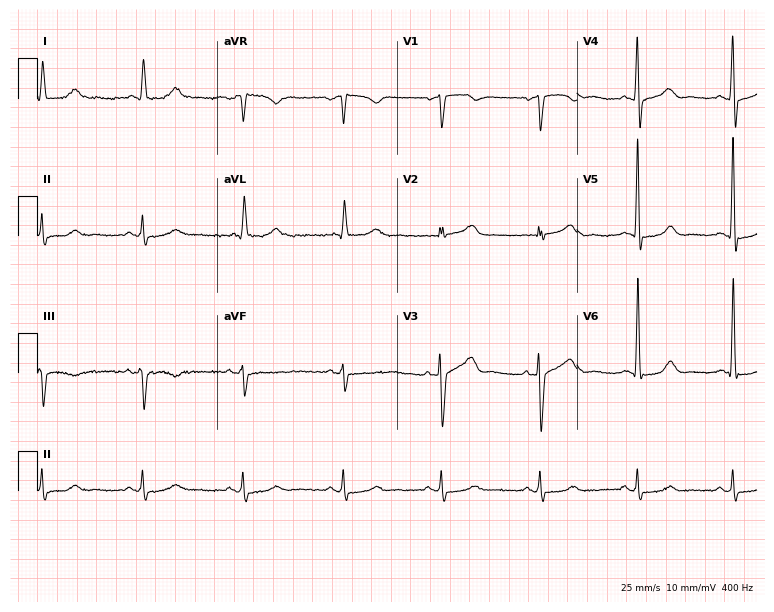
Standard 12-lead ECG recorded from a male, 85 years old (7.3-second recording at 400 Hz). Read as a normal ECG.